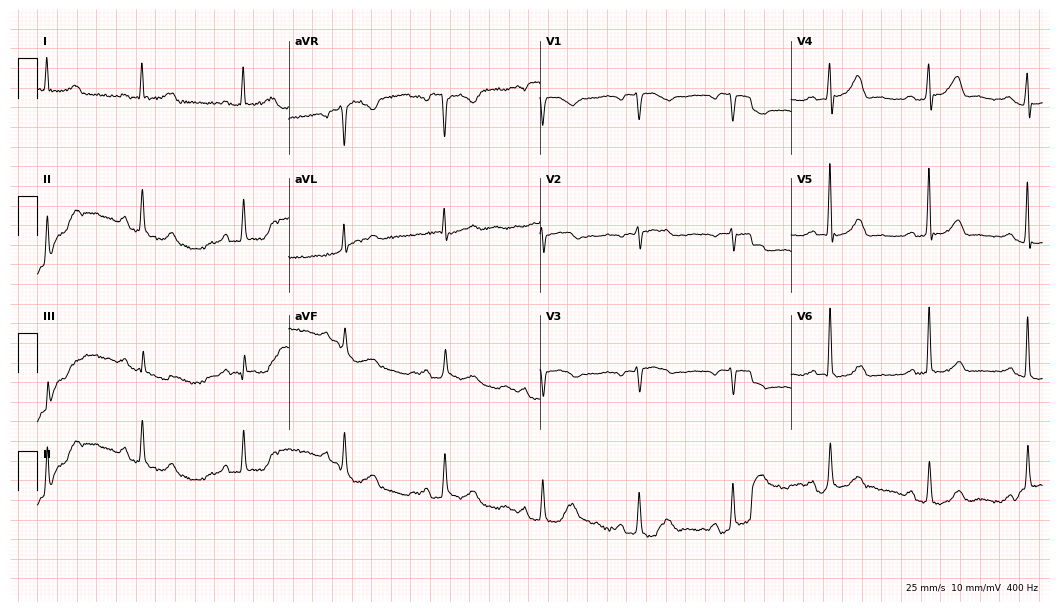
12-lead ECG from a woman, 58 years old (10.2-second recording at 400 Hz). No first-degree AV block, right bundle branch block, left bundle branch block, sinus bradycardia, atrial fibrillation or sinus tachycardia recorded for this tracing.